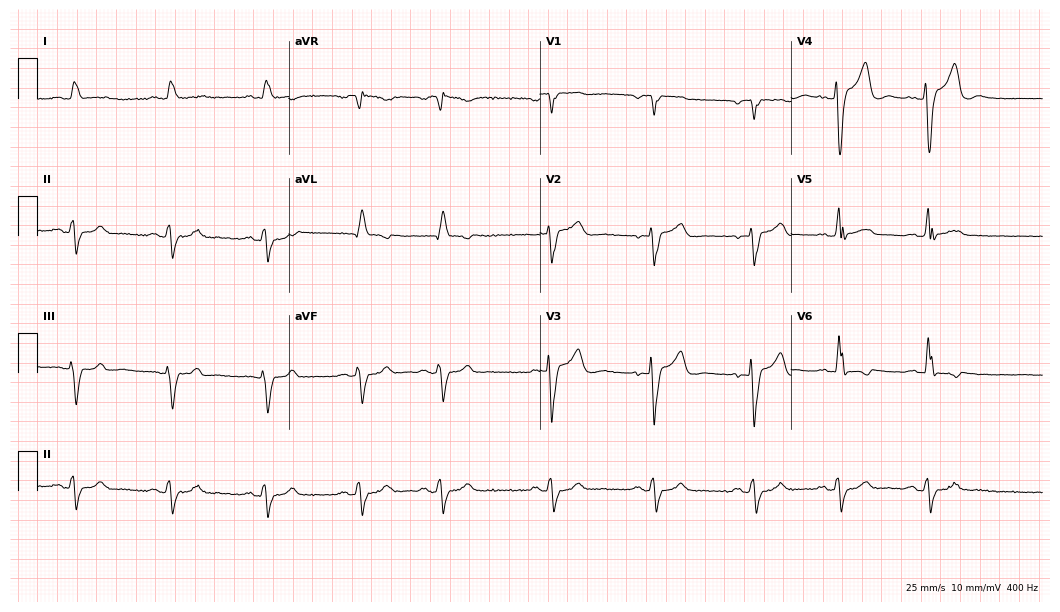
12-lead ECG from a female patient, 76 years old. Shows left bundle branch block.